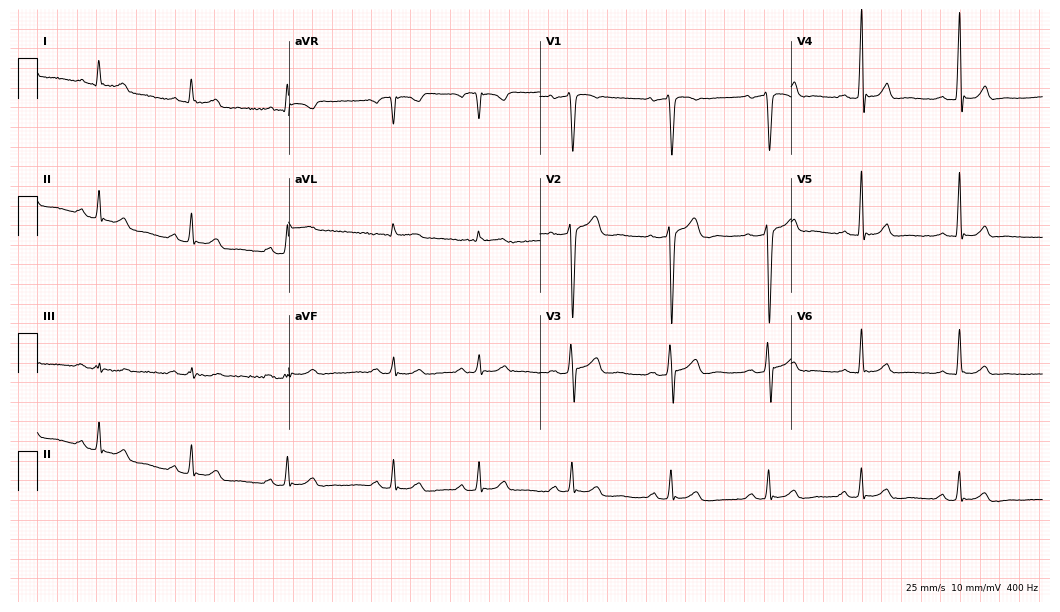
12-lead ECG from a 67-year-old male. Labelled as a normal ECG.